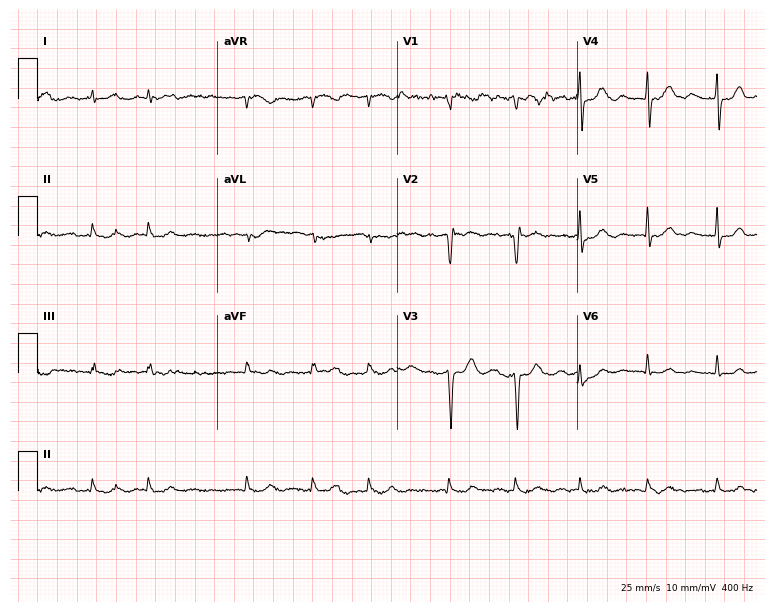
Electrocardiogram (7.3-second recording at 400 Hz), a 77-year-old male. Of the six screened findings (first-degree AV block, right bundle branch block, left bundle branch block, sinus bradycardia, atrial fibrillation, sinus tachycardia), none is recorded. Findings outside these six are not listed.